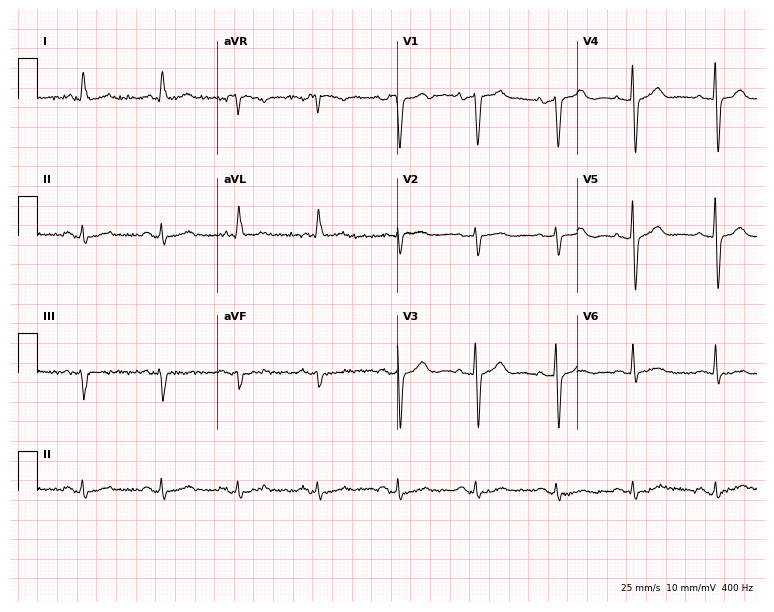
12-lead ECG (7.3-second recording at 400 Hz) from a 71-year-old male patient. Screened for six findings — first-degree AV block, right bundle branch block, left bundle branch block, sinus bradycardia, atrial fibrillation, sinus tachycardia — none is recorded. Only these six findings were labelled.